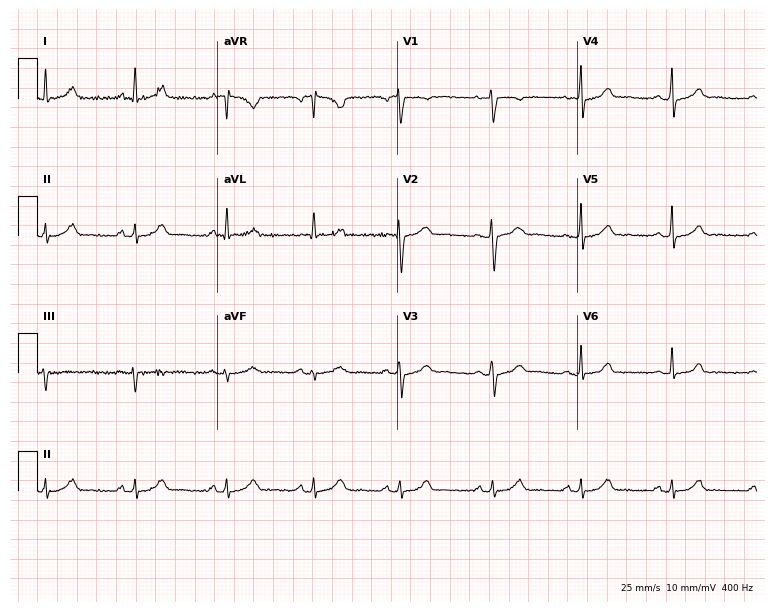
12-lead ECG from a woman, 38 years old. Labelled as a normal ECG.